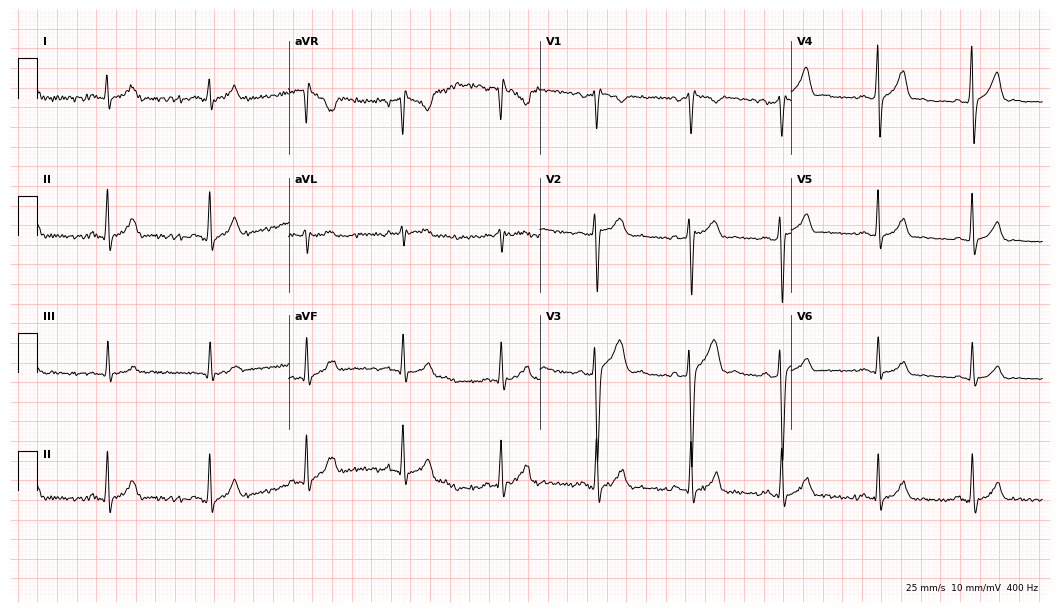
12-lead ECG from a 24-year-old man (10.2-second recording at 400 Hz). Recorded interpretation: within normal limits.